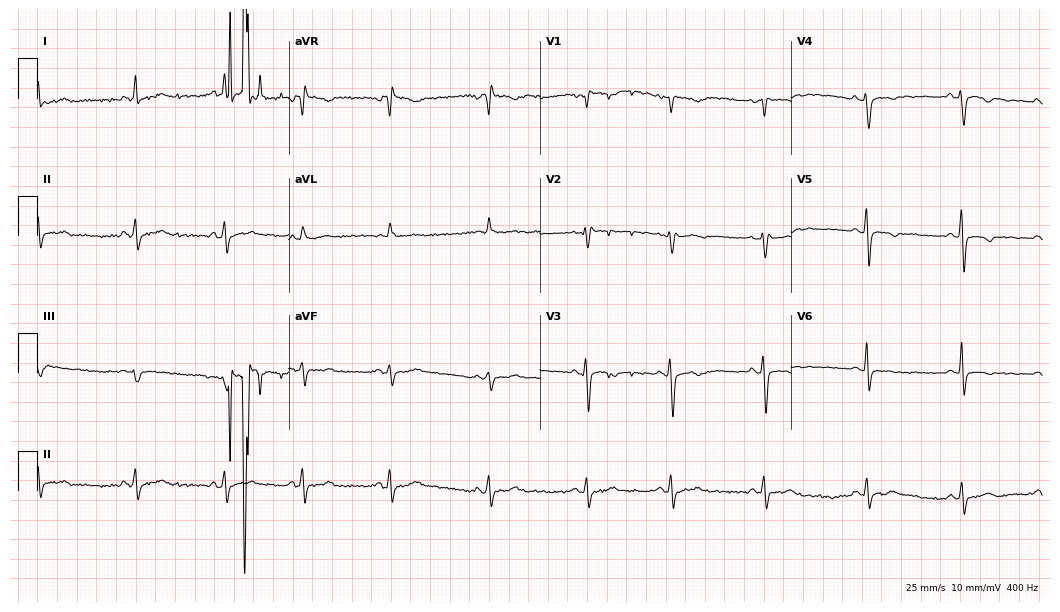
ECG (10.2-second recording at 400 Hz) — a woman, 25 years old. Labelled as a normal ECG.